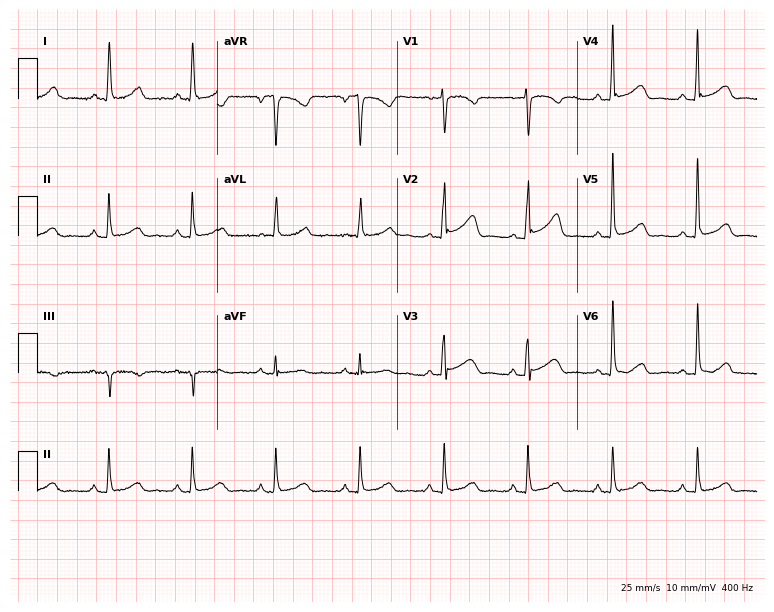
12-lead ECG from a 70-year-old woman (7.3-second recording at 400 Hz). Recorded interpretation: within normal limits.